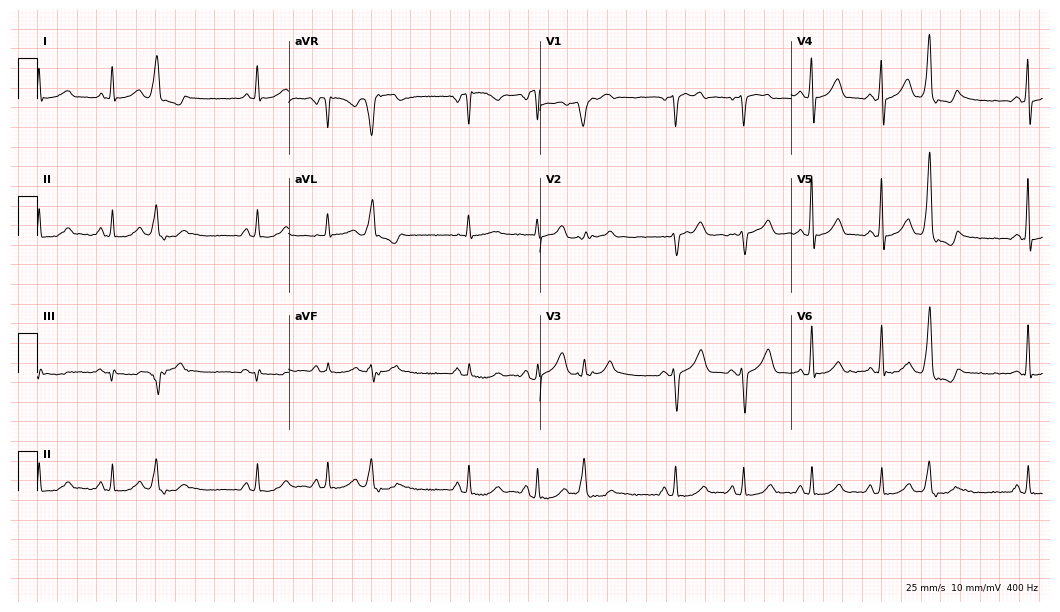
Electrocardiogram (10.2-second recording at 400 Hz), a man, 62 years old. Of the six screened findings (first-degree AV block, right bundle branch block (RBBB), left bundle branch block (LBBB), sinus bradycardia, atrial fibrillation (AF), sinus tachycardia), none is recorded. Other findings, if any, are not listed.